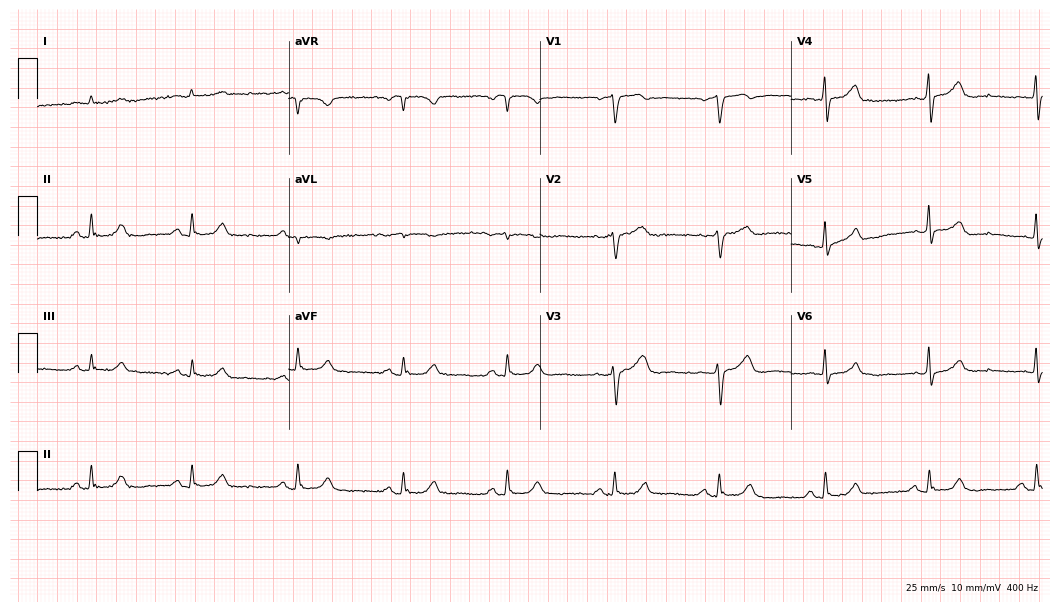
12-lead ECG from a male, 74 years old. Labelled as a normal ECG.